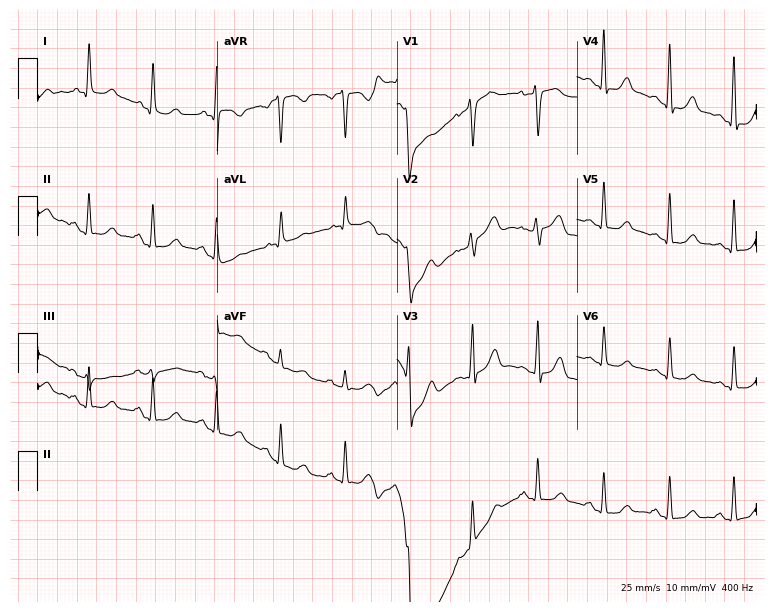
Standard 12-lead ECG recorded from a female patient, 49 years old (7.3-second recording at 400 Hz). None of these six findings is recorded: first-degree AV block, right bundle branch block, left bundle branch block, sinus bradycardia, atrial fibrillation, sinus tachycardia.